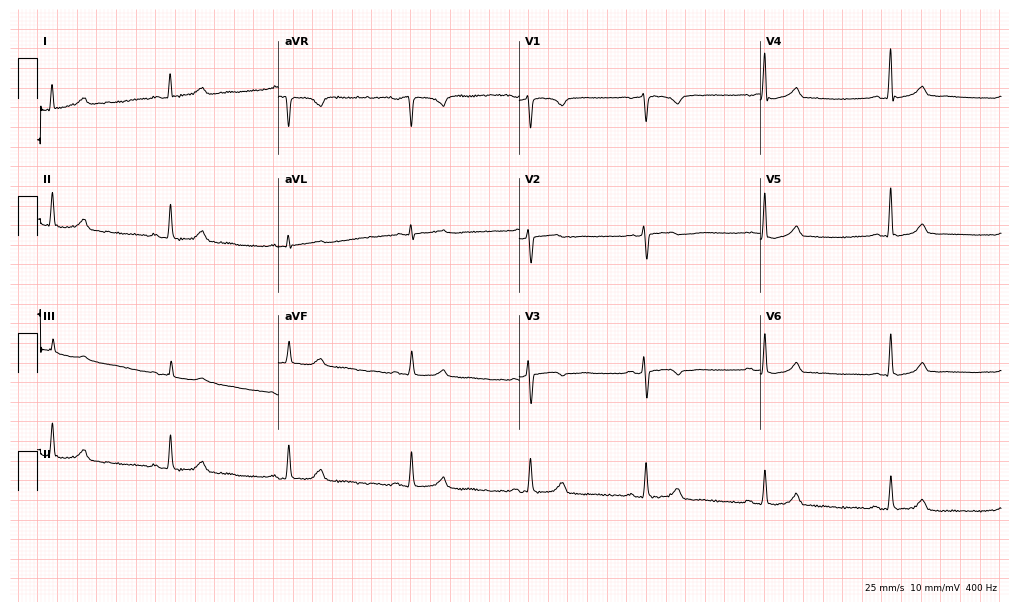
ECG (9.8-second recording at 400 Hz) — a female patient, 53 years old. Labelled as a normal ECG.